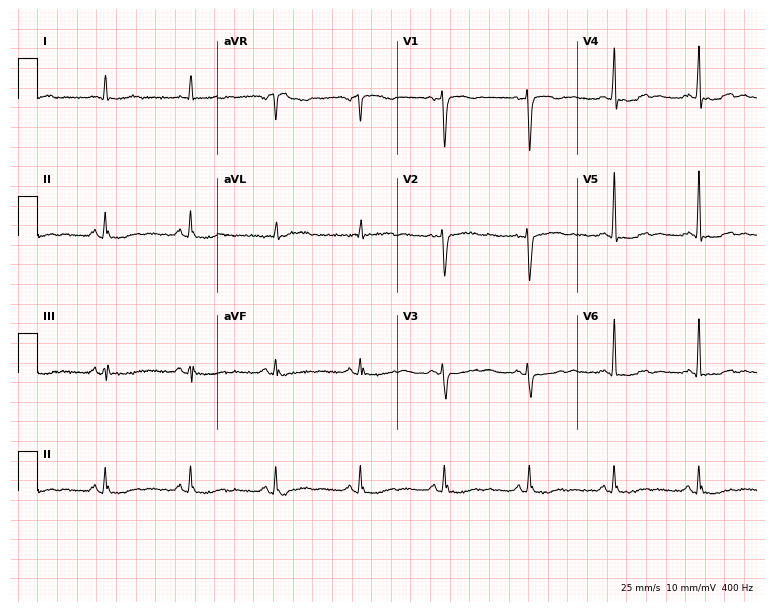
Standard 12-lead ECG recorded from a female, 47 years old (7.3-second recording at 400 Hz). None of these six findings is recorded: first-degree AV block, right bundle branch block, left bundle branch block, sinus bradycardia, atrial fibrillation, sinus tachycardia.